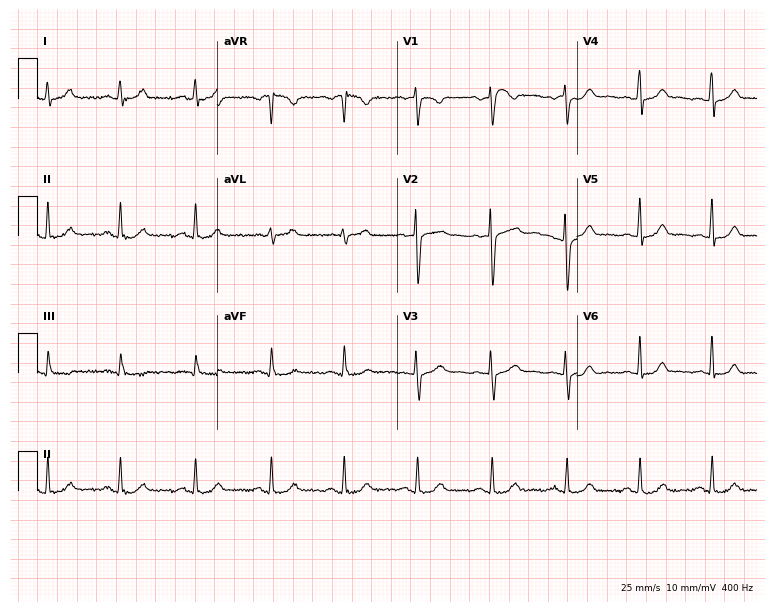
Electrocardiogram, a 37-year-old woman. Overall reading on record: normal ECG.